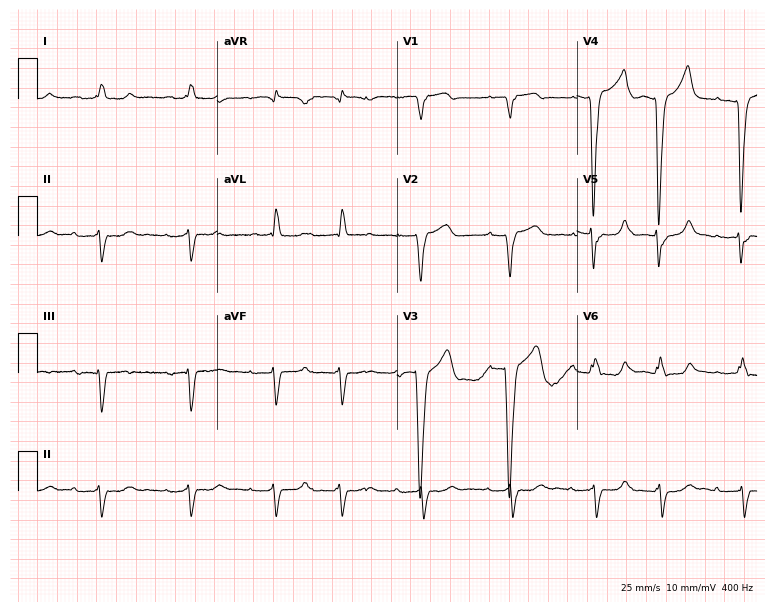
ECG — a 74-year-old man. Findings include left bundle branch block.